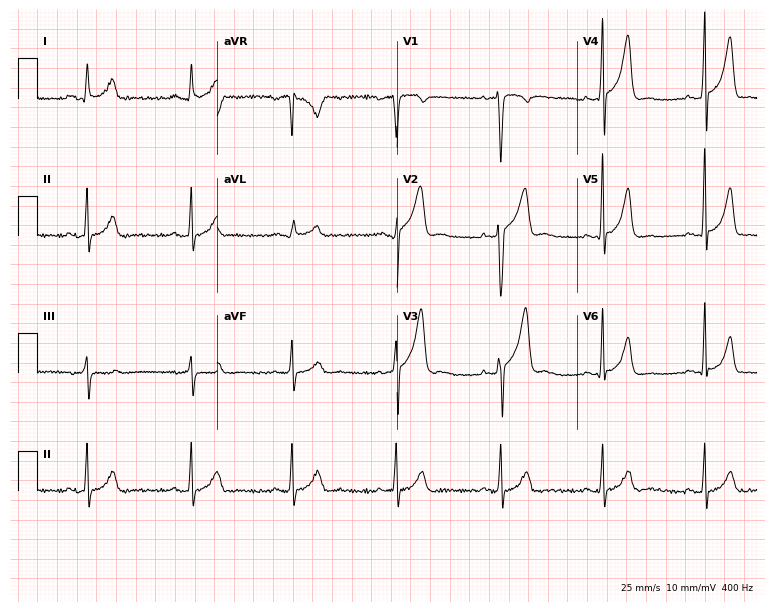
12-lead ECG (7.3-second recording at 400 Hz) from a 40-year-old man. Screened for six findings — first-degree AV block, right bundle branch block, left bundle branch block, sinus bradycardia, atrial fibrillation, sinus tachycardia — none is recorded.